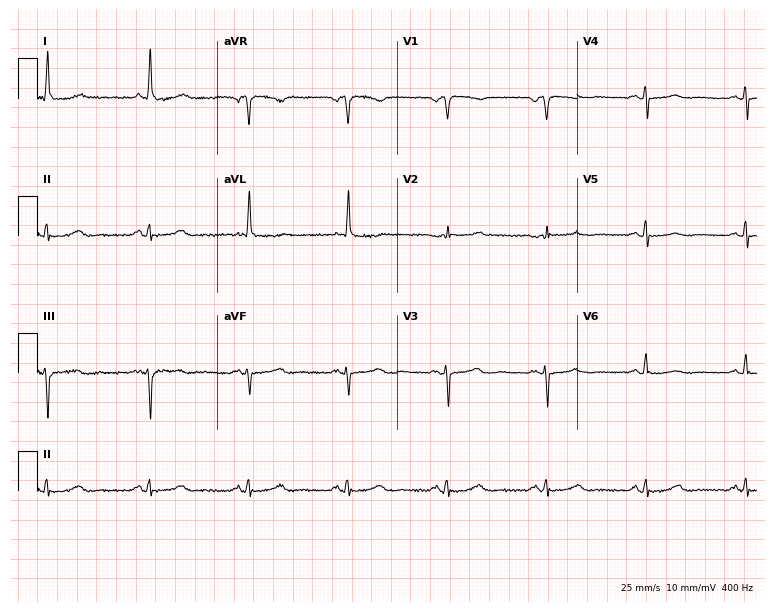
ECG — a female patient, 84 years old. Screened for six findings — first-degree AV block, right bundle branch block (RBBB), left bundle branch block (LBBB), sinus bradycardia, atrial fibrillation (AF), sinus tachycardia — none is recorded. Only these six findings were labelled.